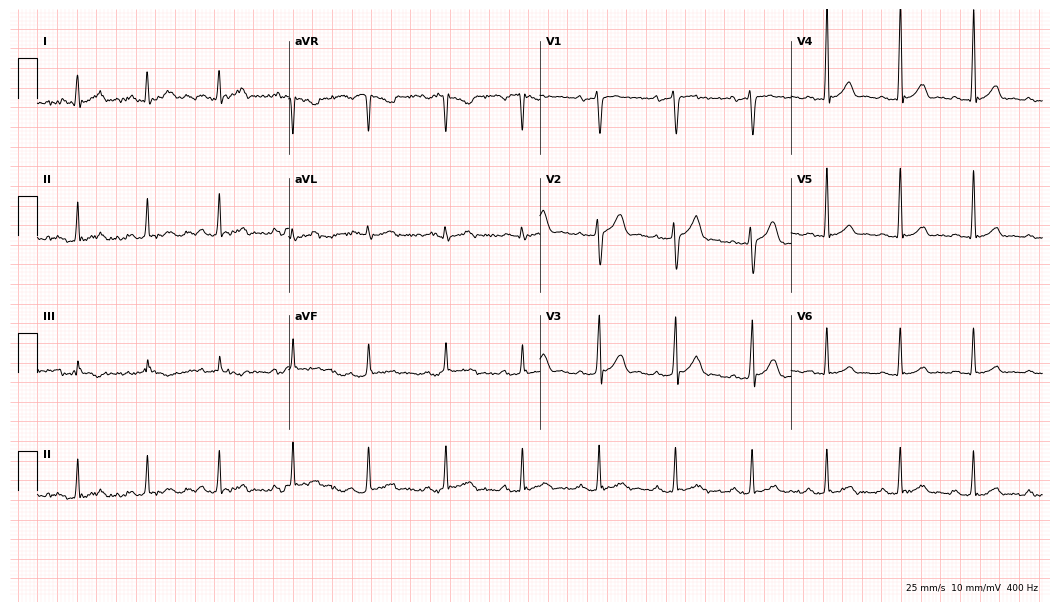
Electrocardiogram (10.2-second recording at 400 Hz), a 51-year-old male. Overall reading on record: normal ECG.